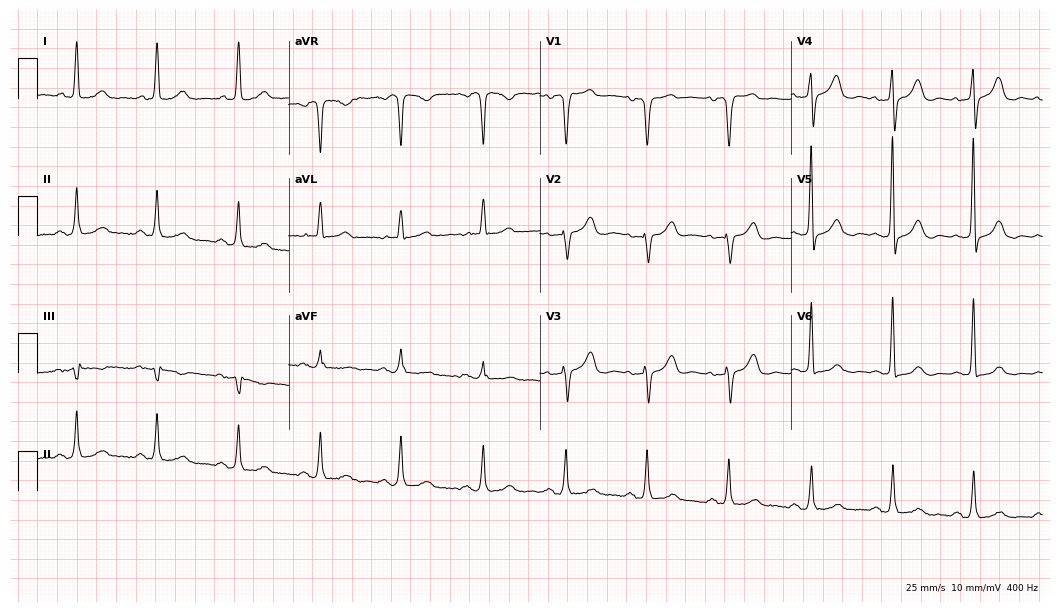
12-lead ECG (10.2-second recording at 400 Hz) from an 80-year-old woman. Screened for six findings — first-degree AV block, right bundle branch block, left bundle branch block, sinus bradycardia, atrial fibrillation, sinus tachycardia — none is recorded. Findings outside these six are not listed.